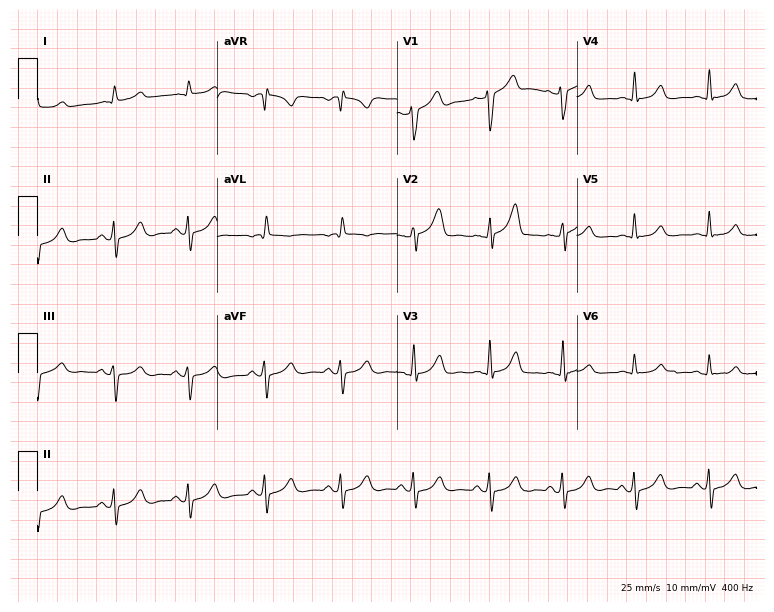
12-lead ECG from a 61-year-old man. Screened for six findings — first-degree AV block, right bundle branch block, left bundle branch block, sinus bradycardia, atrial fibrillation, sinus tachycardia — none is recorded.